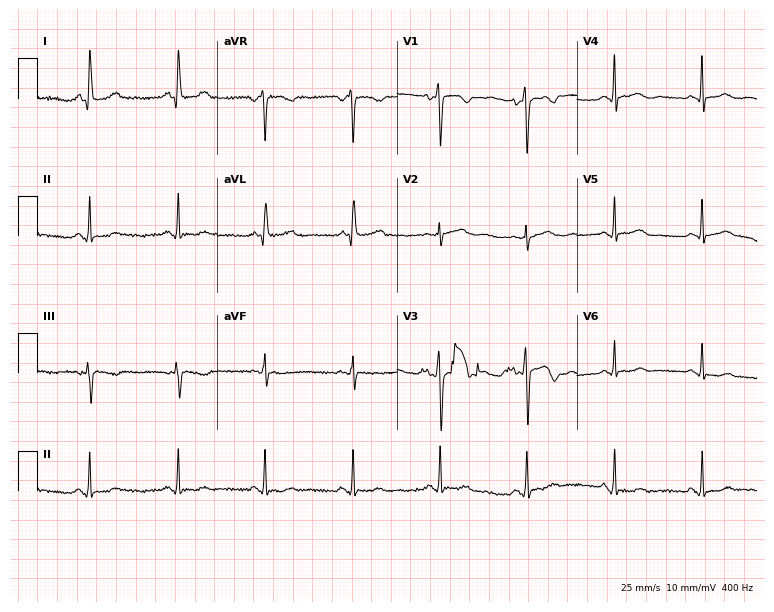
12-lead ECG from a female patient, 47 years old (7.3-second recording at 400 Hz). No first-degree AV block, right bundle branch block, left bundle branch block, sinus bradycardia, atrial fibrillation or sinus tachycardia recorded for this tracing.